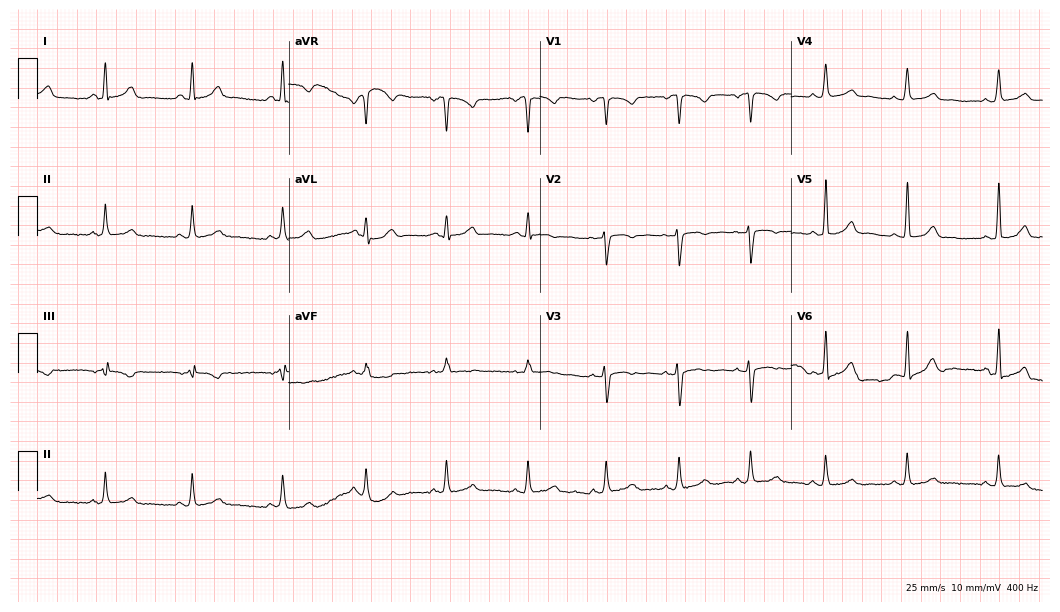
Resting 12-lead electrocardiogram (10.2-second recording at 400 Hz). Patient: a 37-year-old female. None of these six findings is recorded: first-degree AV block, right bundle branch block, left bundle branch block, sinus bradycardia, atrial fibrillation, sinus tachycardia. Findings outside these six are not listed.